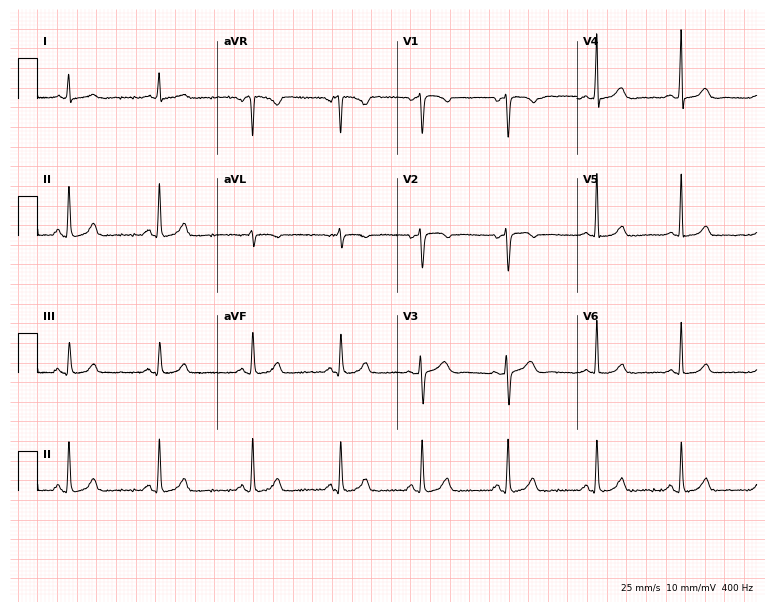
12-lead ECG from a female, 32 years old. Recorded interpretation: within normal limits.